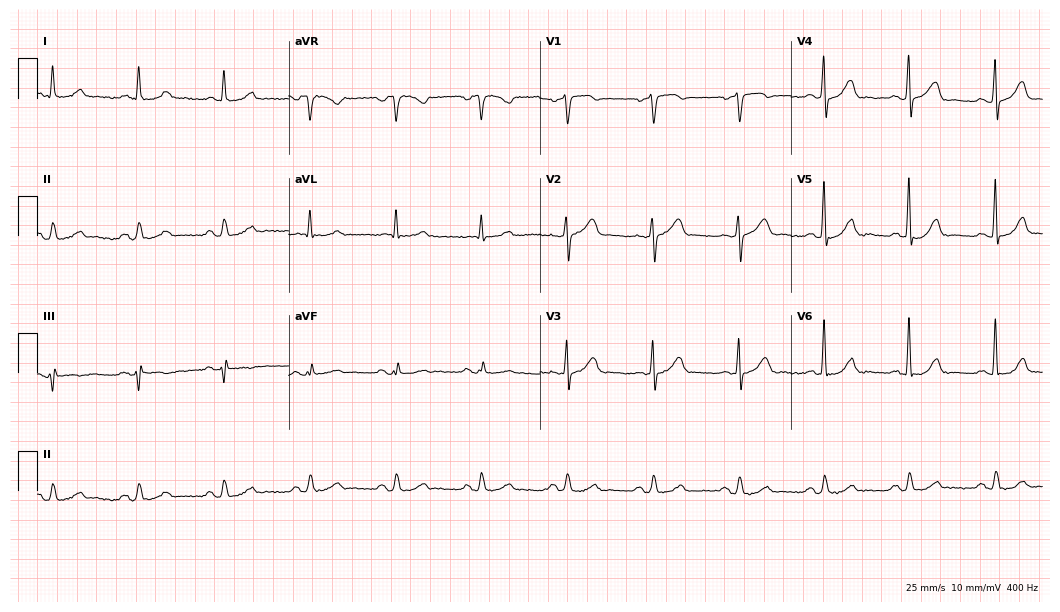
12-lead ECG (10.2-second recording at 400 Hz) from a male patient, 88 years old. Screened for six findings — first-degree AV block, right bundle branch block, left bundle branch block, sinus bradycardia, atrial fibrillation, sinus tachycardia — none is recorded.